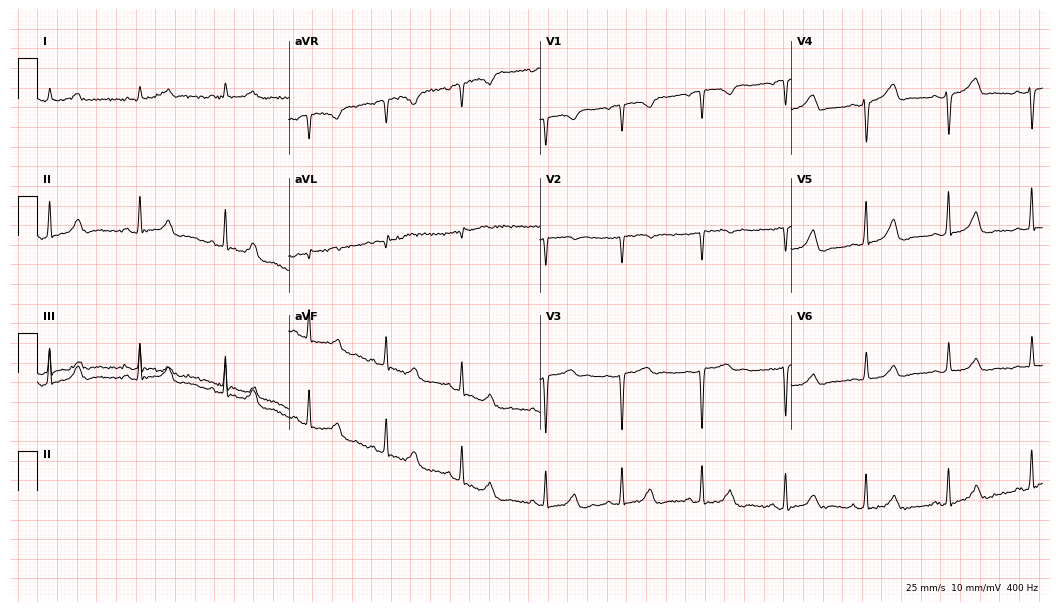
Standard 12-lead ECG recorded from a 44-year-old woman. None of these six findings is recorded: first-degree AV block, right bundle branch block, left bundle branch block, sinus bradycardia, atrial fibrillation, sinus tachycardia.